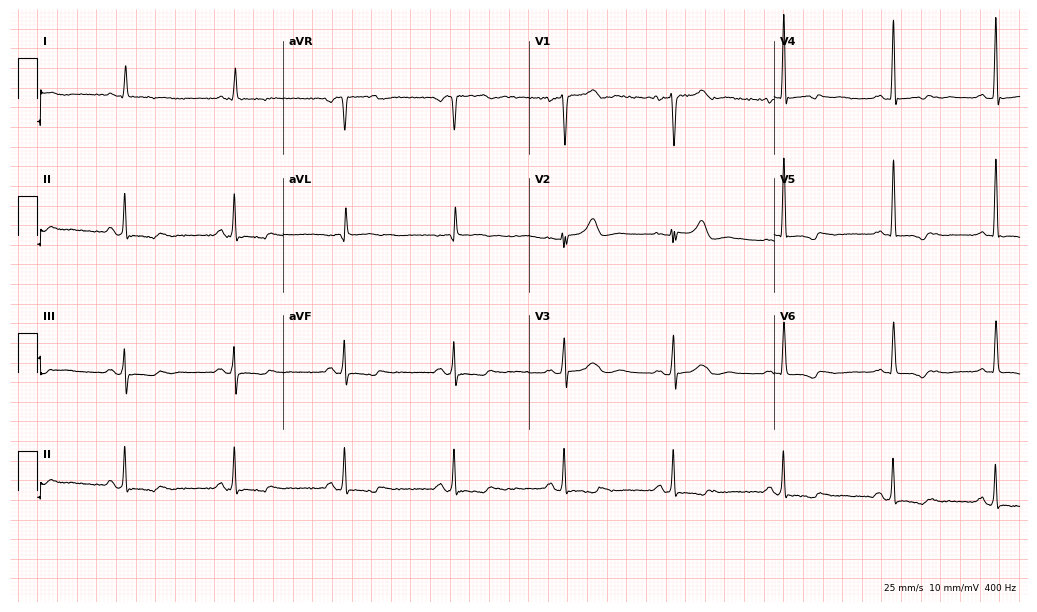
Standard 12-lead ECG recorded from a woman, 55 years old. None of these six findings is recorded: first-degree AV block, right bundle branch block (RBBB), left bundle branch block (LBBB), sinus bradycardia, atrial fibrillation (AF), sinus tachycardia. Findings outside these six are not listed.